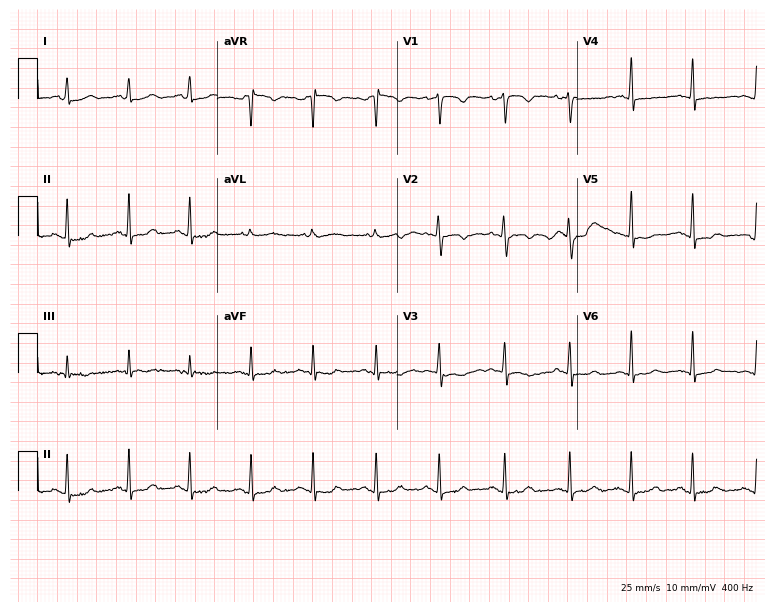
Electrocardiogram, a 22-year-old female. Of the six screened findings (first-degree AV block, right bundle branch block, left bundle branch block, sinus bradycardia, atrial fibrillation, sinus tachycardia), none is recorded.